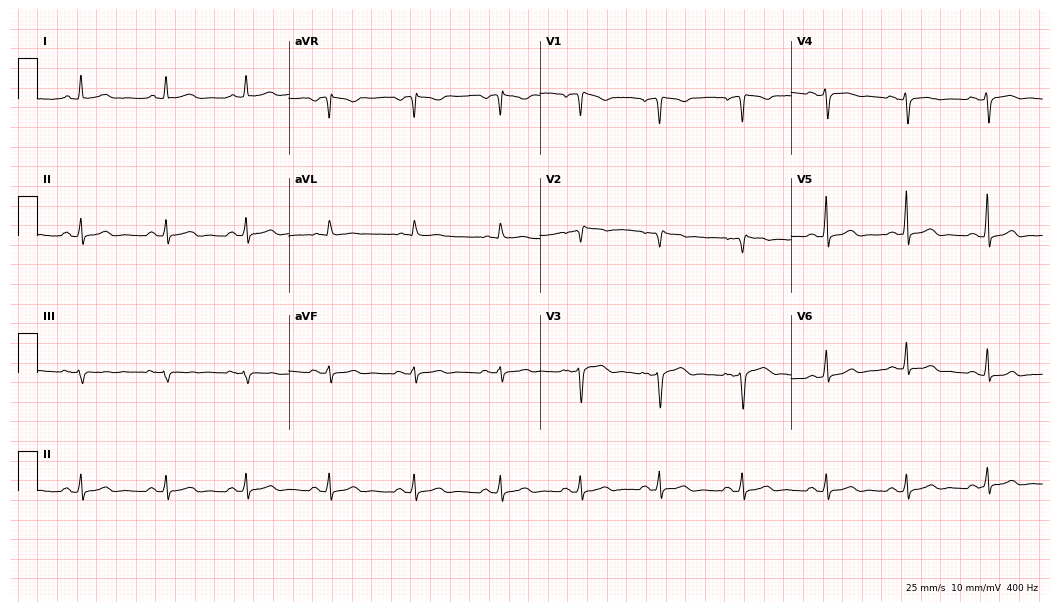
Resting 12-lead electrocardiogram (10.2-second recording at 400 Hz). Patient: a female, 30 years old. Read as a normal ECG.